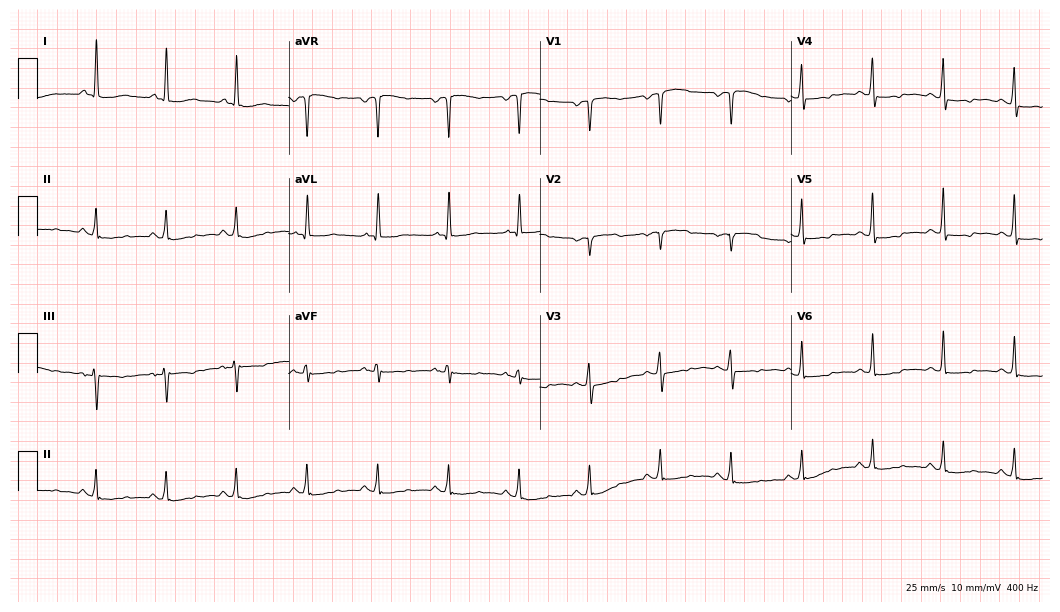
12-lead ECG from a woman, 70 years old. Screened for six findings — first-degree AV block, right bundle branch block, left bundle branch block, sinus bradycardia, atrial fibrillation, sinus tachycardia — none is recorded. Other findings, if any, are not listed.